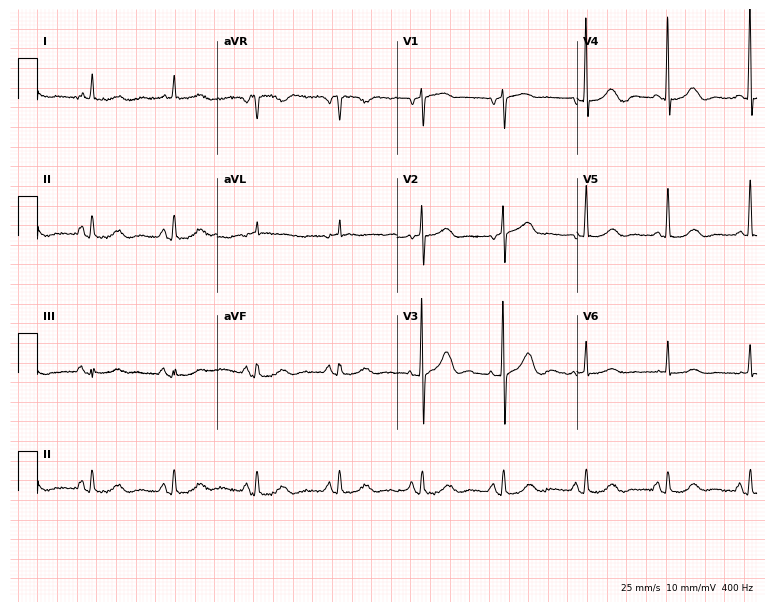
Standard 12-lead ECG recorded from an 81-year-old woman. Read as a normal ECG.